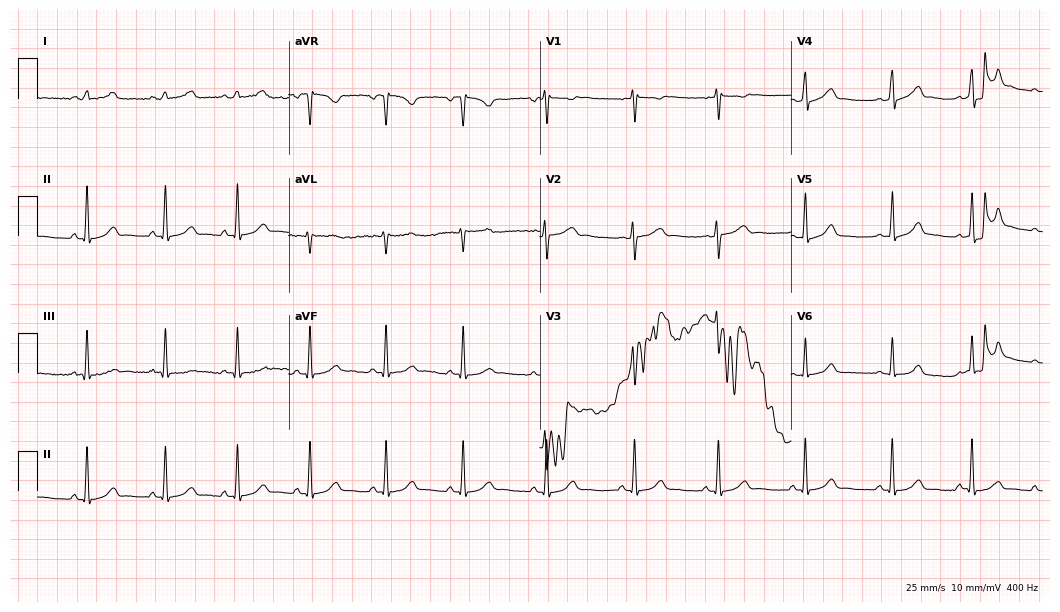
12-lead ECG from a female patient, 21 years old (10.2-second recording at 400 Hz). Recorded interpretation: within normal limits.